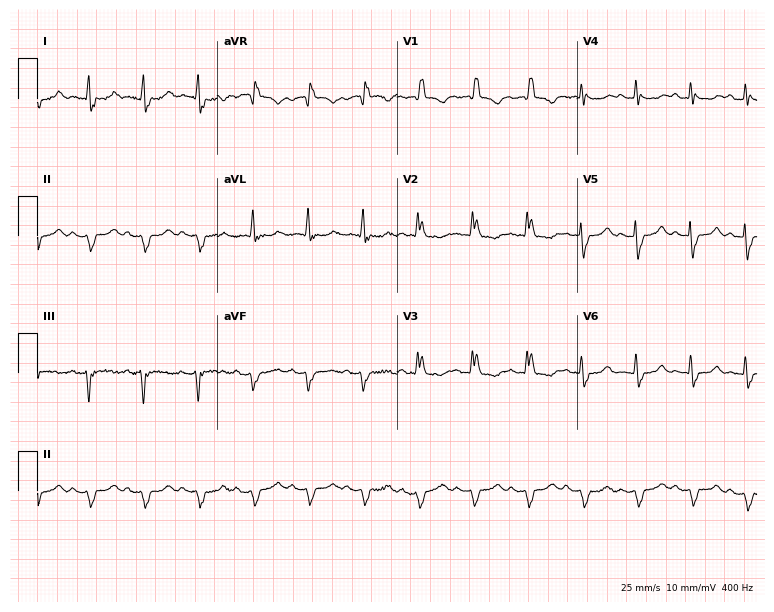
Standard 12-lead ECG recorded from an 81-year-old female patient. The tracing shows sinus tachycardia (a sinus rate of 100 beats per minute or more).